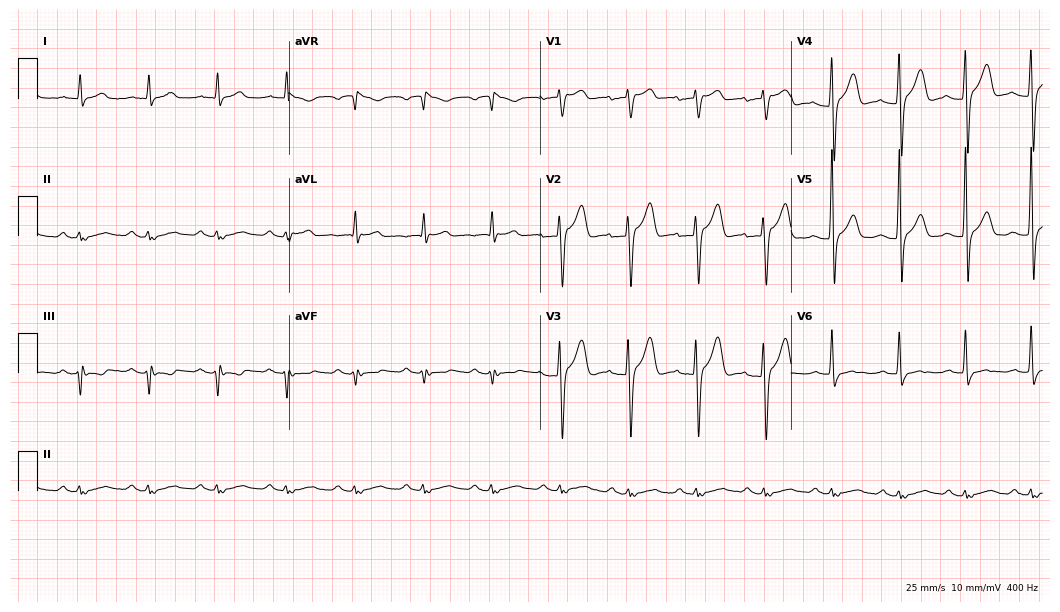
Electrocardiogram, a male patient, 70 years old. Of the six screened findings (first-degree AV block, right bundle branch block, left bundle branch block, sinus bradycardia, atrial fibrillation, sinus tachycardia), none is recorded.